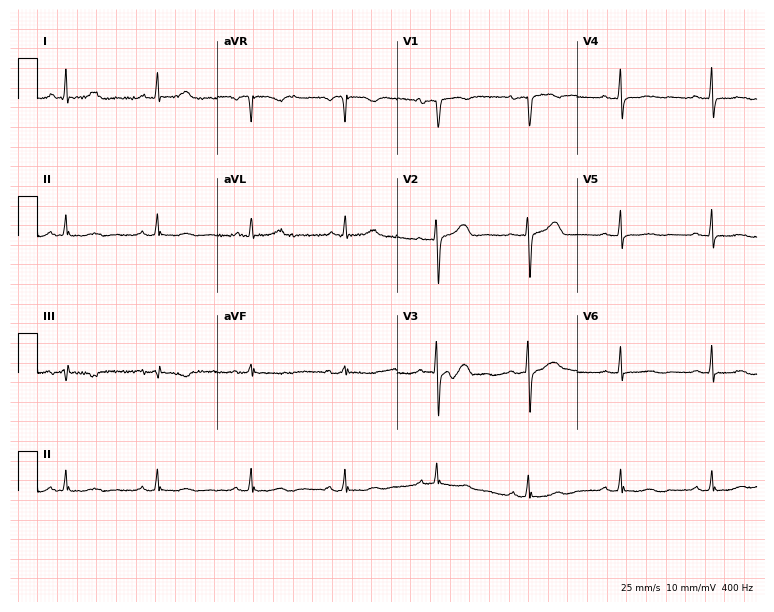
Resting 12-lead electrocardiogram. Patient: a 56-year-old female. Read as a normal ECG.